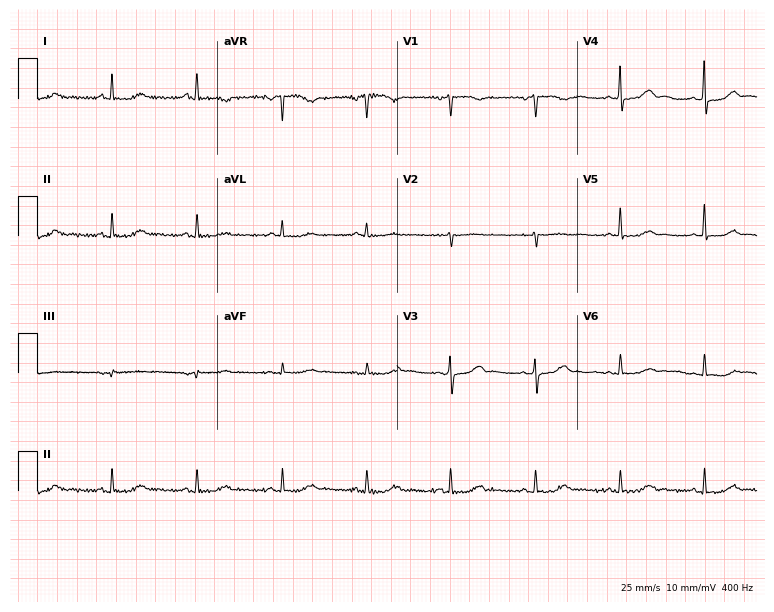
Standard 12-lead ECG recorded from a woman, 63 years old. Read as a normal ECG.